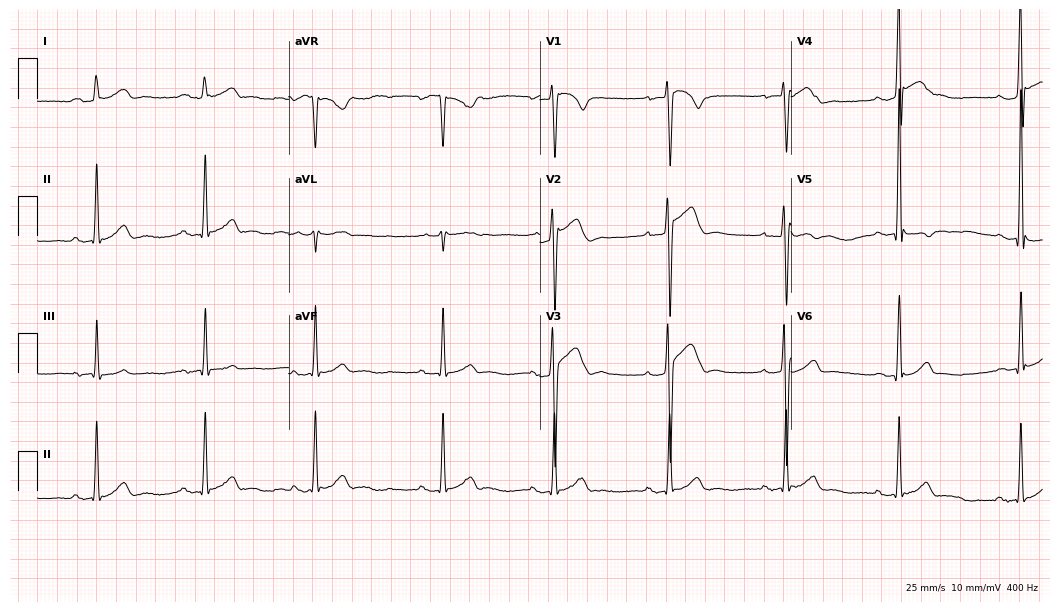
12-lead ECG from a 22-year-old male (10.2-second recording at 400 Hz). Recorded interpretation: within normal limits.